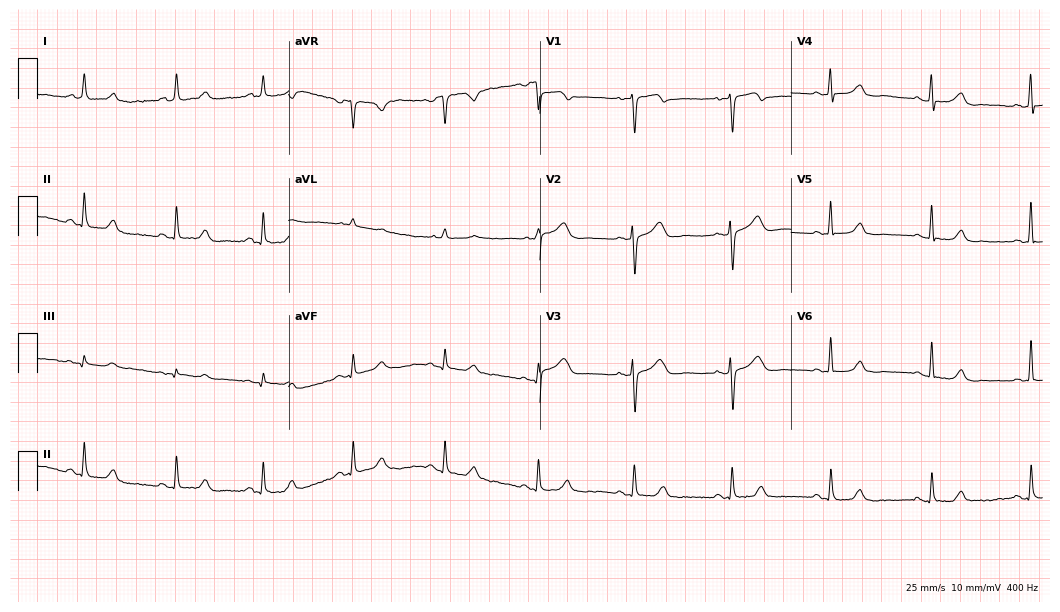
12-lead ECG (10.2-second recording at 400 Hz) from a 77-year-old female. Labelled as a normal ECG.